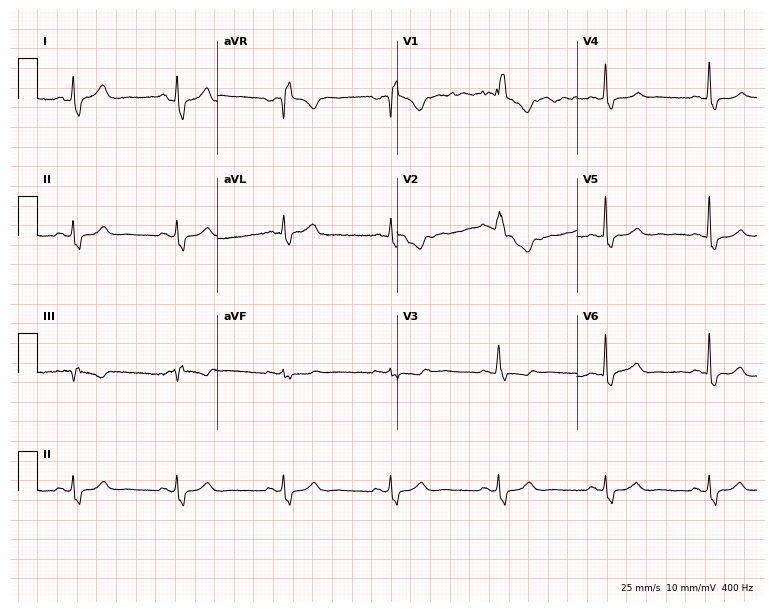
12-lead ECG from a female, 54 years old (7.3-second recording at 400 Hz). Shows right bundle branch block (RBBB).